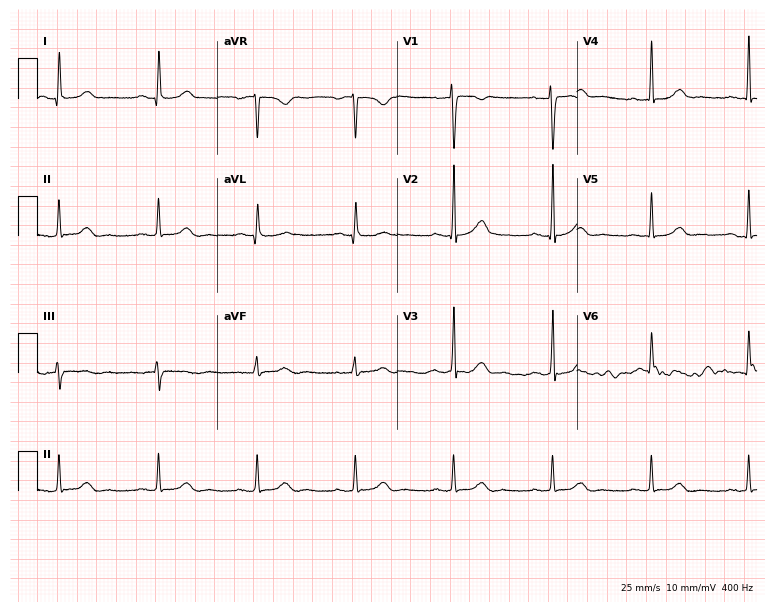
ECG (7.3-second recording at 400 Hz) — a female, 25 years old. Labelled as a normal ECG.